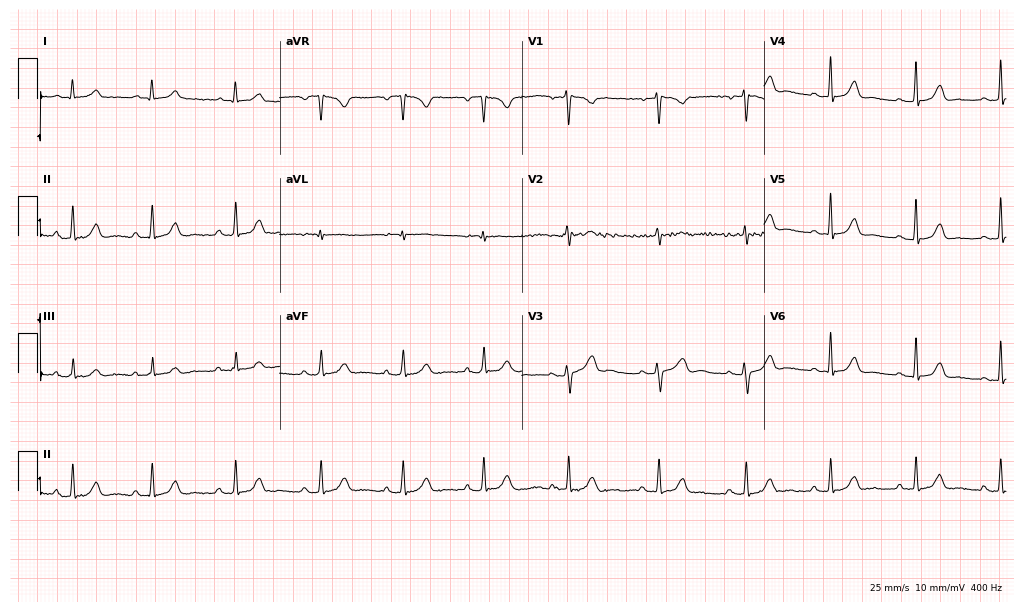
12-lead ECG from a 51-year-old female patient. Recorded interpretation: within normal limits.